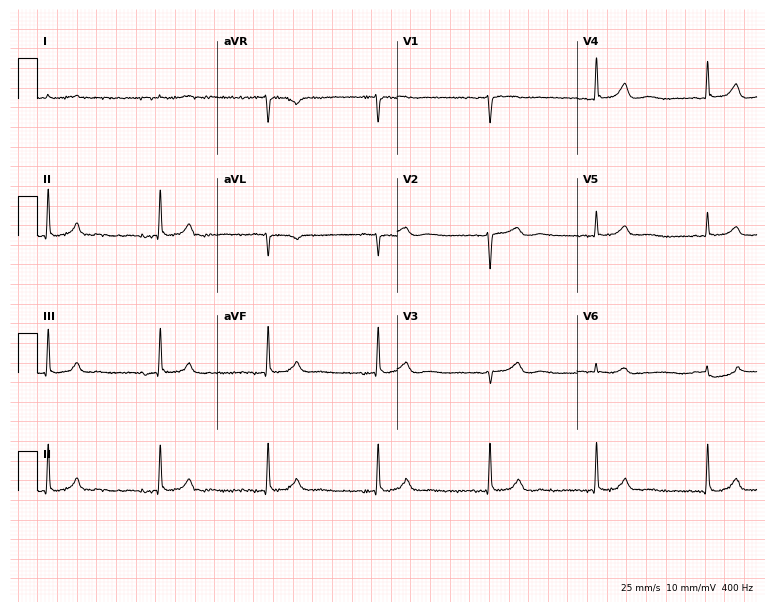
Standard 12-lead ECG recorded from a woman, 63 years old. None of these six findings is recorded: first-degree AV block, right bundle branch block, left bundle branch block, sinus bradycardia, atrial fibrillation, sinus tachycardia. Only these six findings were labelled.